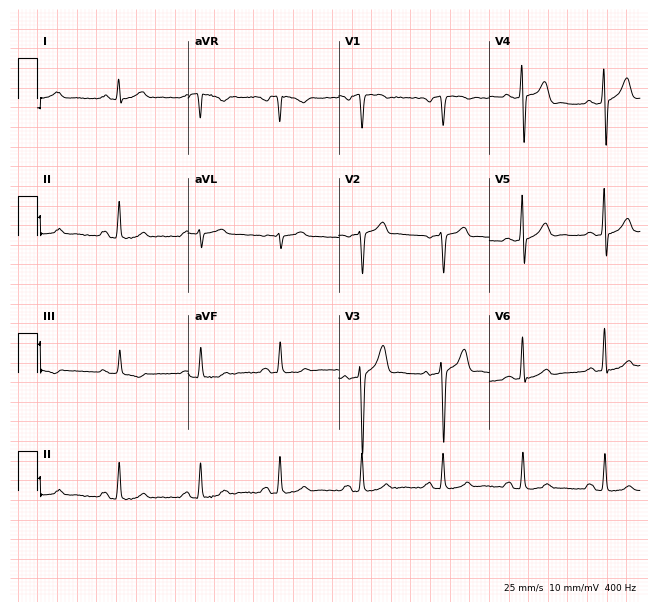
12-lead ECG (6.1-second recording at 400 Hz) from a 41-year-old male patient. Screened for six findings — first-degree AV block, right bundle branch block (RBBB), left bundle branch block (LBBB), sinus bradycardia, atrial fibrillation (AF), sinus tachycardia — none is recorded.